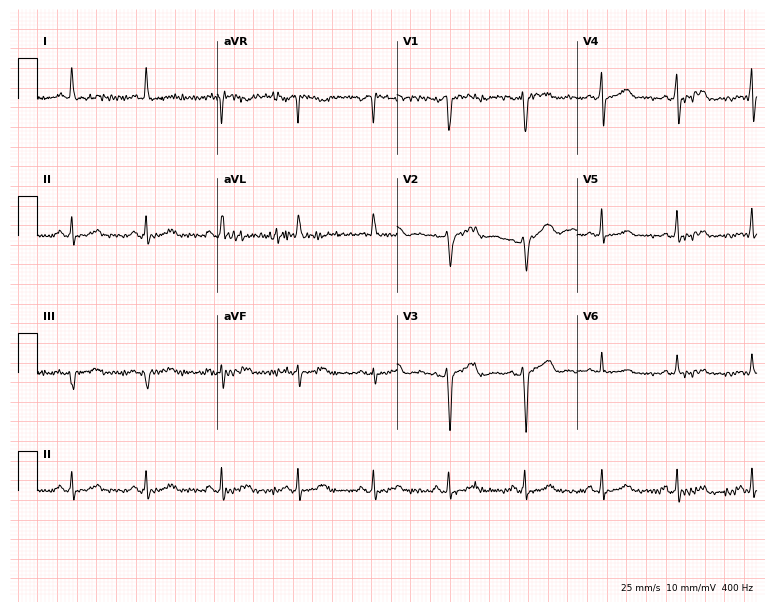
12-lead ECG from a 54-year-old female patient (7.3-second recording at 400 Hz). Recorded interpretation: within normal limits.